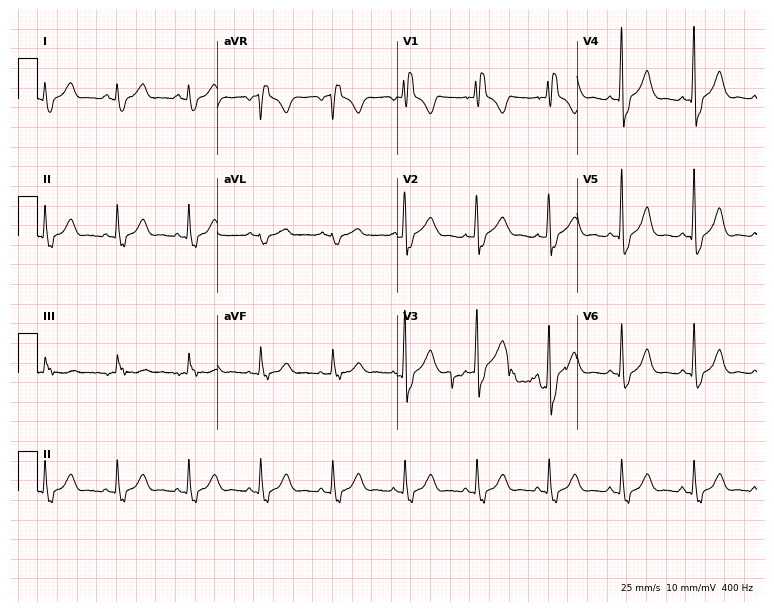
Electrocardiogram (7.3-second recording at 400 Hz), a 72-year-old man. Interpretation includes right bundle branch block (RBBB).